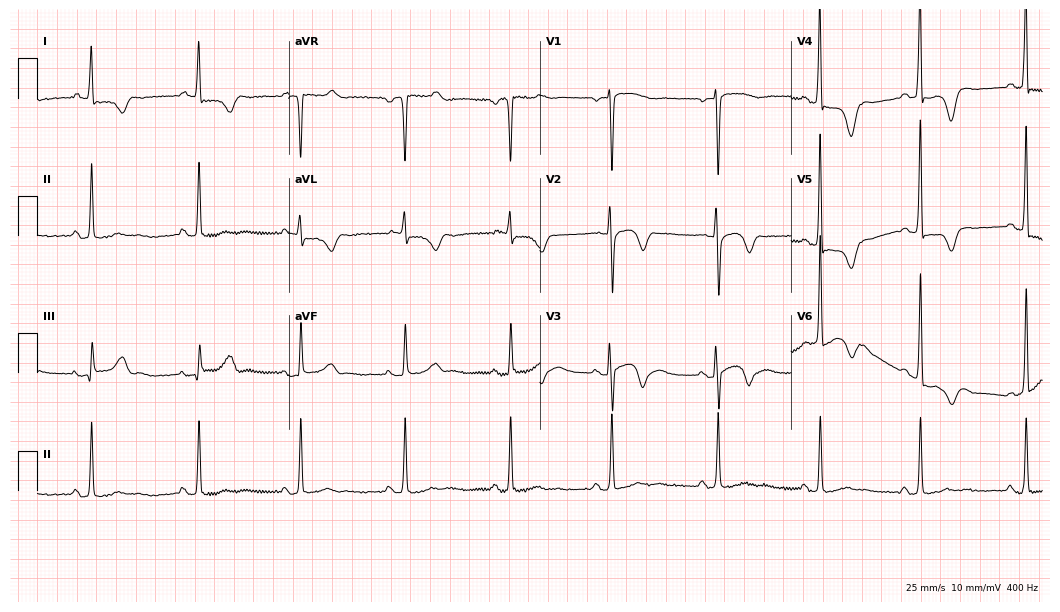
ECG (10.2-second recording at 400 Hz) — an 84-year-old woman. Screened for six findings — first-degree AV block, right bundle branch block, left bundle branch block, sinus bradycardia, atrial fibrillation, sinus tachycardia — none is recorded. Findings outside these six are not listed.